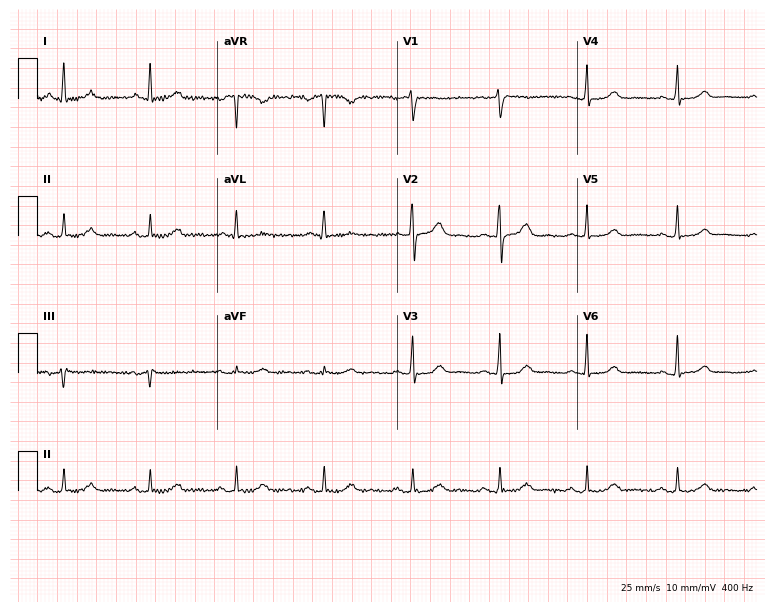
Resting 12-lead electrocardiogram (7.3-second recording at 400 Hz). Patient: a female, 49 years old. None of these six findings is recorded: first-degree AV block, right bundle branch block (RBBB), left bundle branch block (LBBB), sinus bradycardia, atrial fibrillation (AF), sinus tachycardia. Only these six findings were labelled.